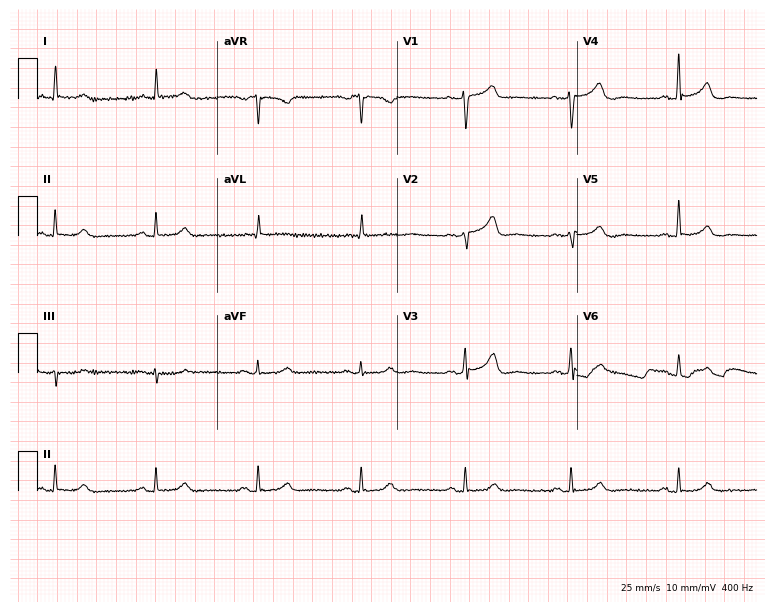
Standard 12-lead ECG recorded from a 65-year-old woman (7.3-second recording at 400 Hz). Read as a normal ECG.